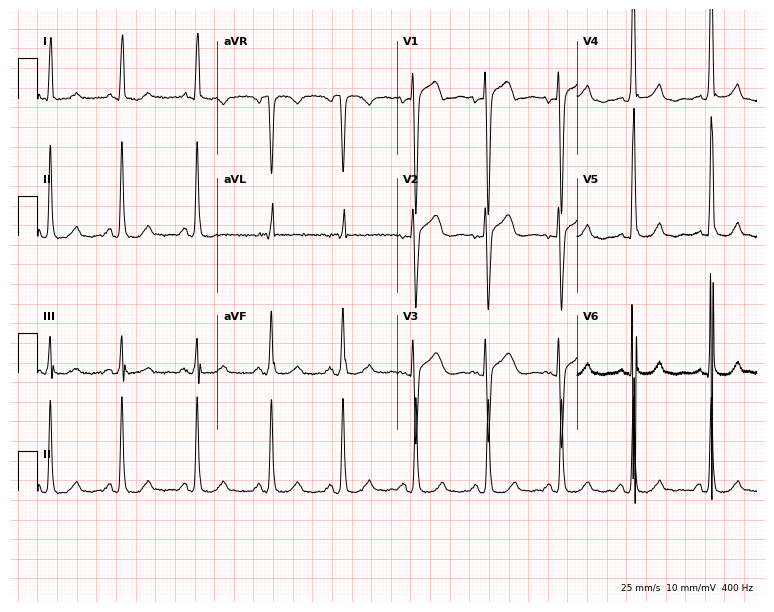
Electrocardiogram, a 75-year-old female patient. Of the six screened findings (first-degree AV block, right bundle branch block, left bundle branch block, sinus bradycardia, atrial fibrillation, sinus tachycardia), none is recorded. Other findings, if any, are not listed.